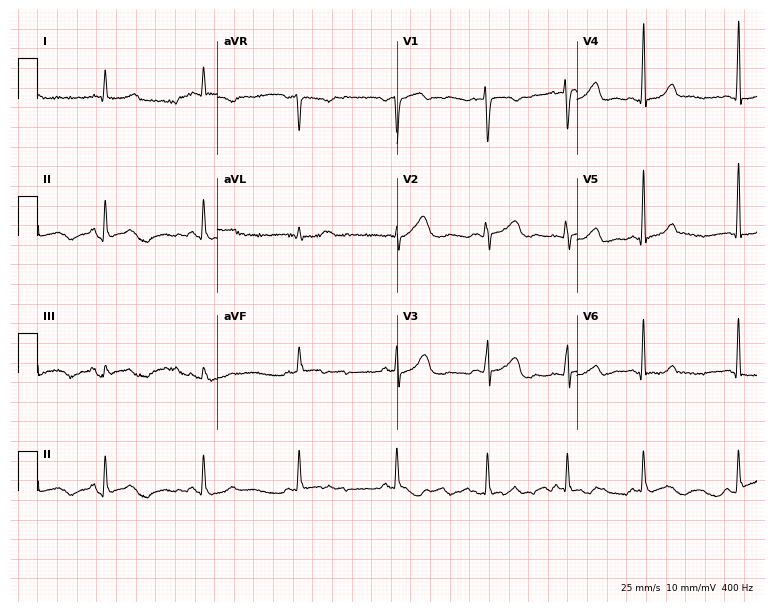
Electrocardiogram (7.3-second recording at 400 Hz), a woman, 25 years old. Of the six screened findings (first-degree AV block, right bundle branch block (RBBB), left bundle branch block (LBBB), sinus bradycardia, atrial fibrillation (AF), sinus tachycardia), none is recorded.